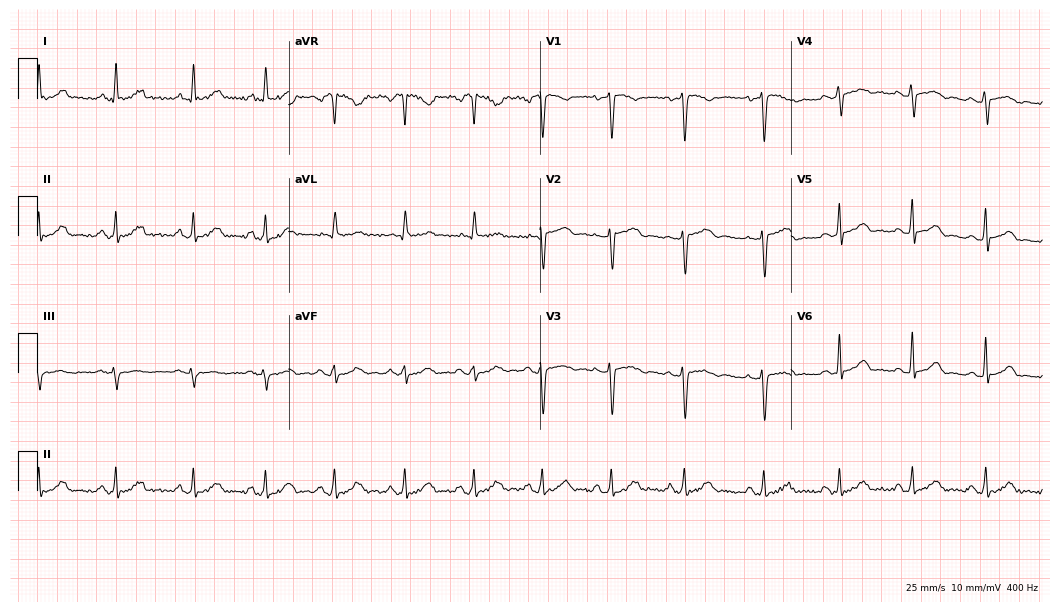
12-lead ECG from a 38-year-old woman (10.2-second recording at 400 Hz). Recorded interpretation: within normal limits.